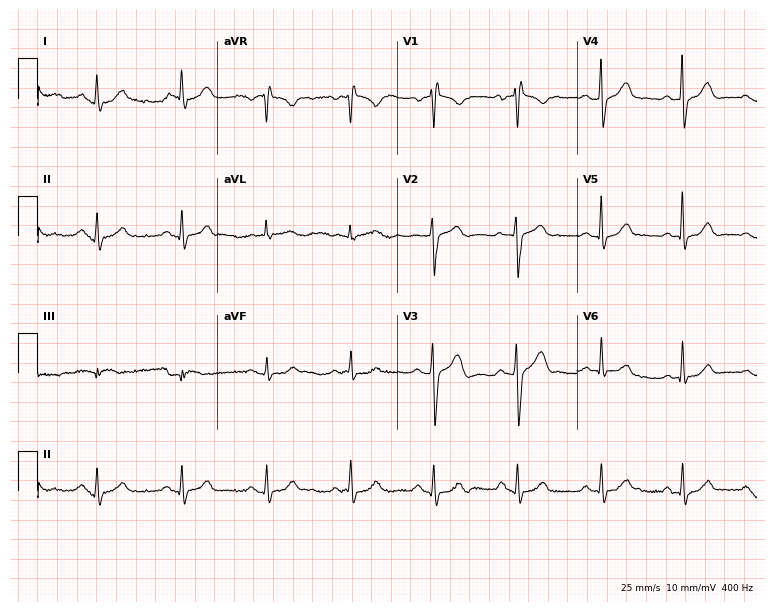
12-lead ECG from a male, 55 years old (7.3-second recording at 400 Hz). Recorded interpretation: within normal limits.